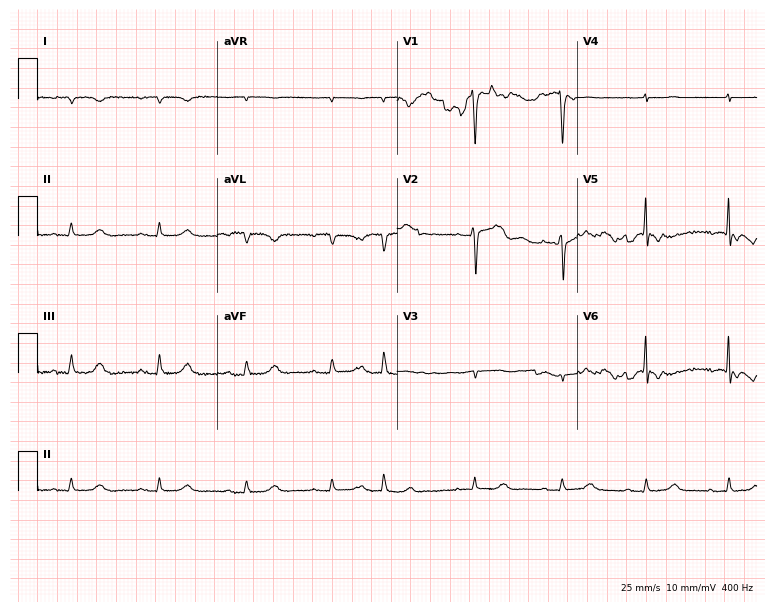
12-lead ECG from a male patient, 79 years old. No first-degree AV block, right bundle branch block (RBBB), left bundle branch block (LBBB), sinus bradycardia, atrial fibrillation (AF) or sinus tachycardia recorded for this tracing. Only these six findings were labelled.